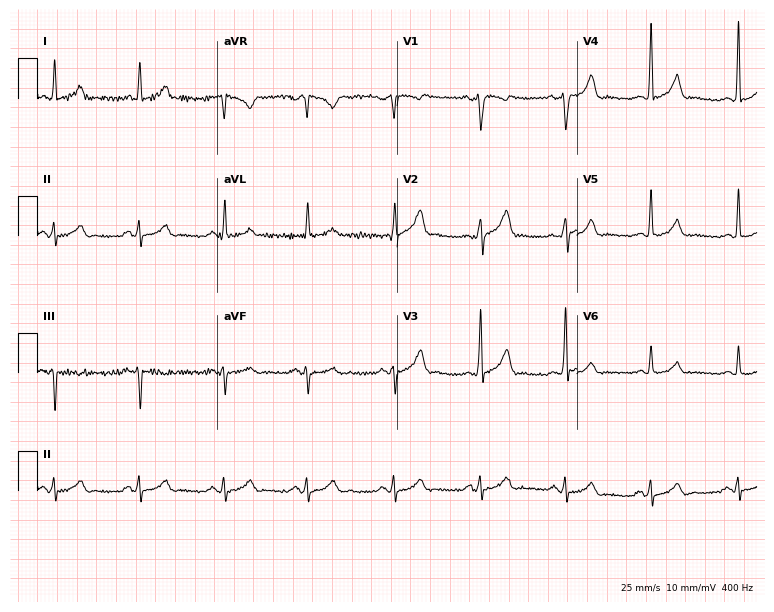
ECG (7.3-second recording at 400 Hz) — a man, 42 years old. Screened for six findings — first-degree AV block, right bundle branch block, left bundle branch block, sinus bradycardia, atrial fibrillation, sinus tachycardia — none is recorded. Only these six findings were labelled.